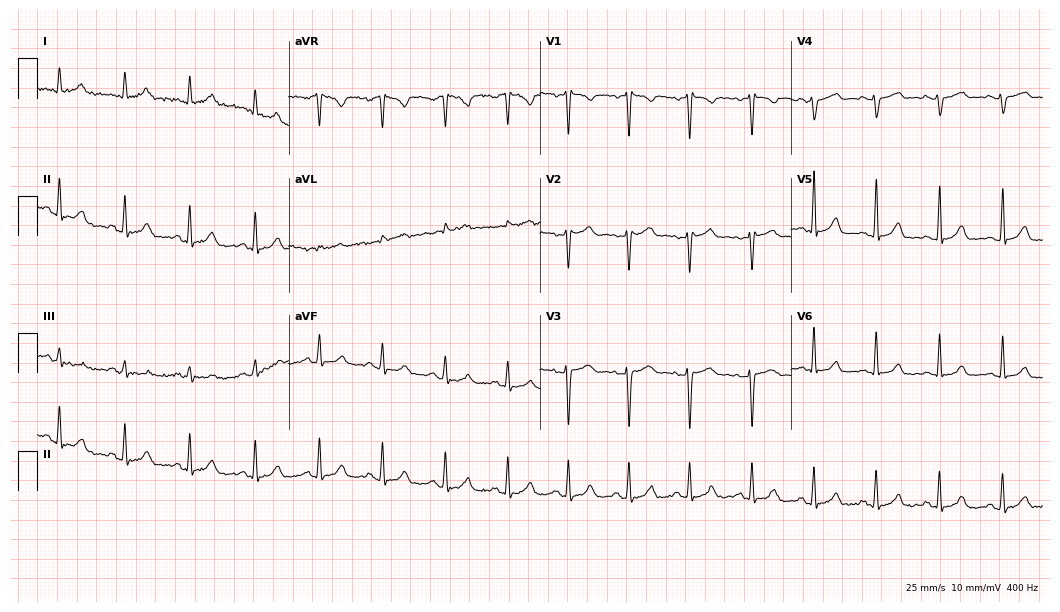
12-lead ECG from a woman, 44 years old. Recorded interpretation: within normal limits.